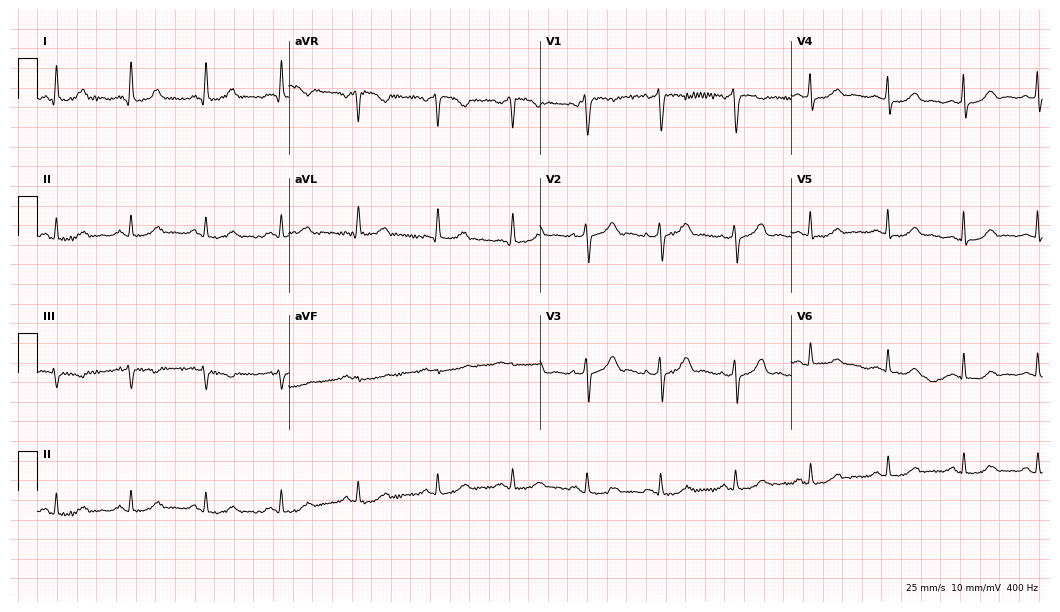
ECG — a 43-year-old female patient. Labelled as a normal ECG.